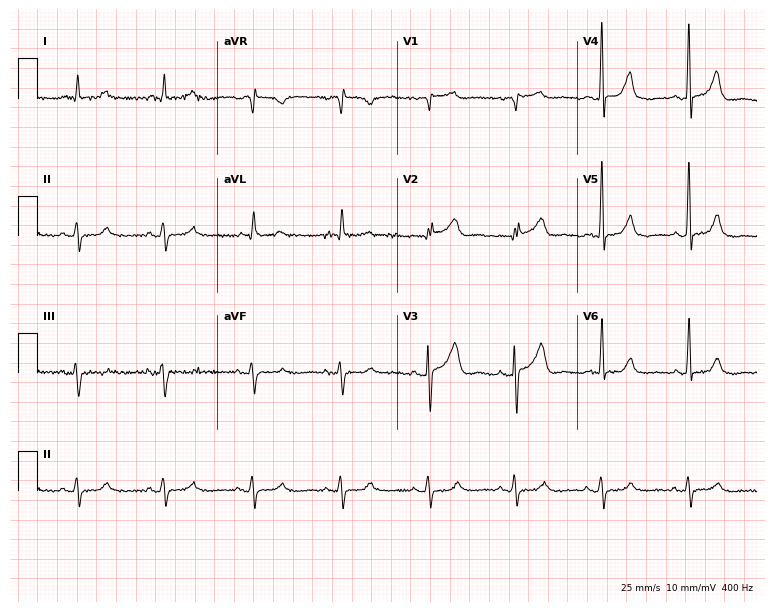
Standard 12-lead ECG recorded from a man, 76 years old (7.3-second recording at 400 Hz). None of these six findings is recorded: first-degree AV block, right bundle branch block, left bundle branch block, sinus bradycardia, atrial fibrillation, sinus tachycardia.